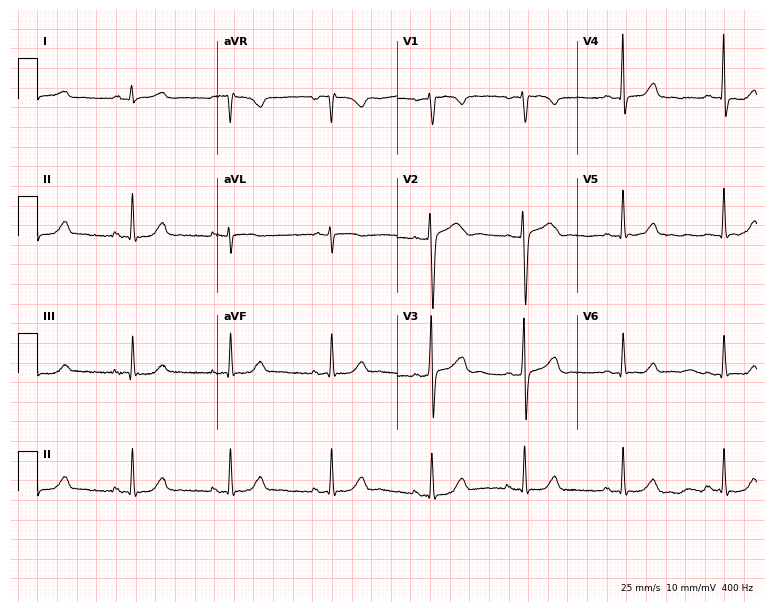
12-lead ECG from a 45-year-old female. Recorded interpretation: within normal limits.